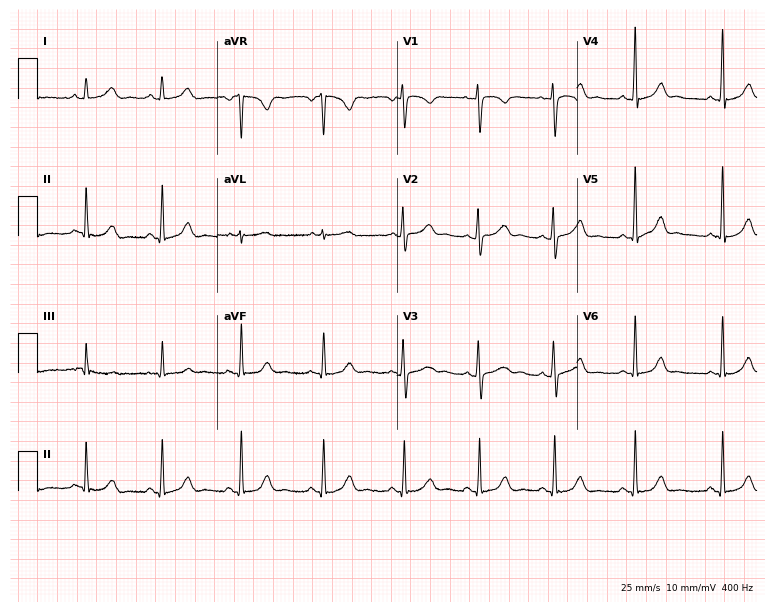
12-lead ECG from a 26-year-old female patient (7.3-second recording at 400 Hz). Recorded interpretation: within normal limits.